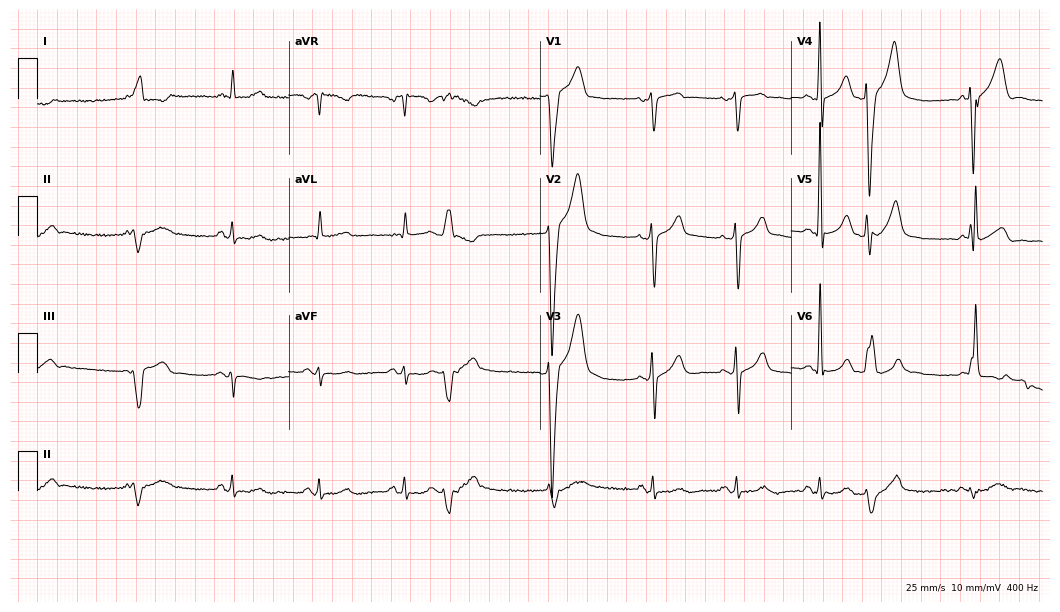
12-lead ECG from a man, 81 years old. Labelled as a normal ECG.